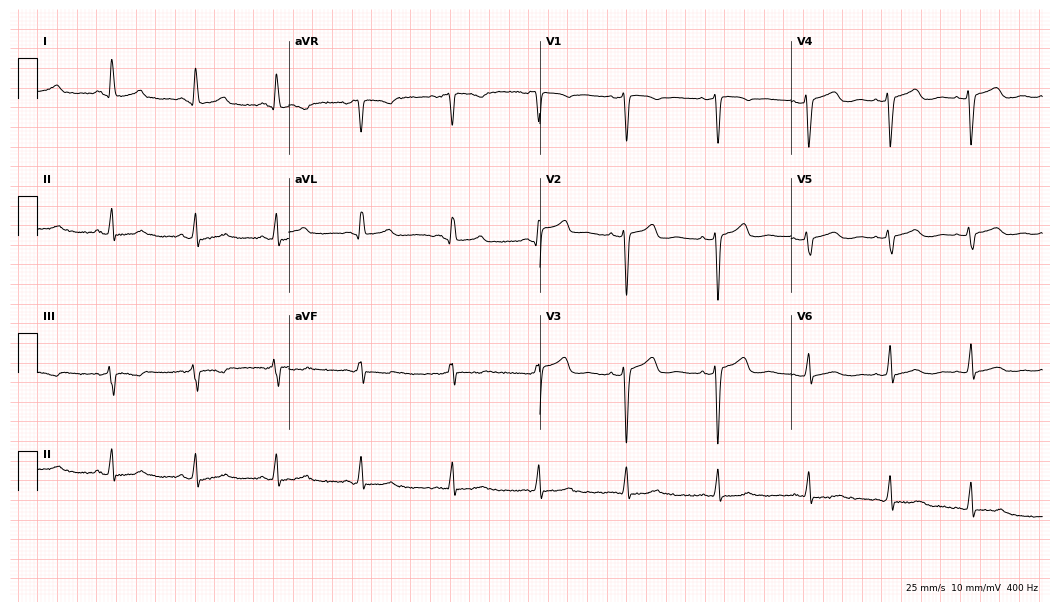
Resting 12-lead electrocardiogram. Patient: a female, 37 years old. Read as a normal ECG.